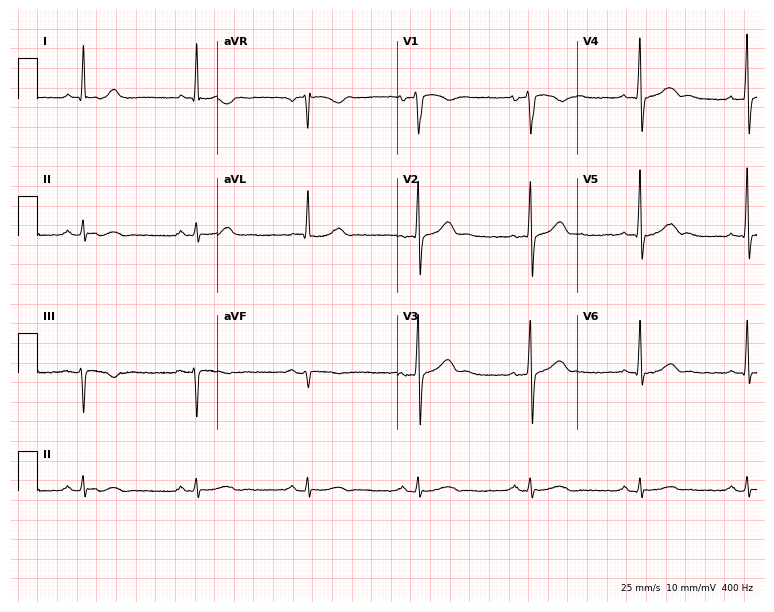
12-lead ECG from a man, 64 years old (7.3-second recording at 400 Hz). Recorded interpretation: within normal limits.